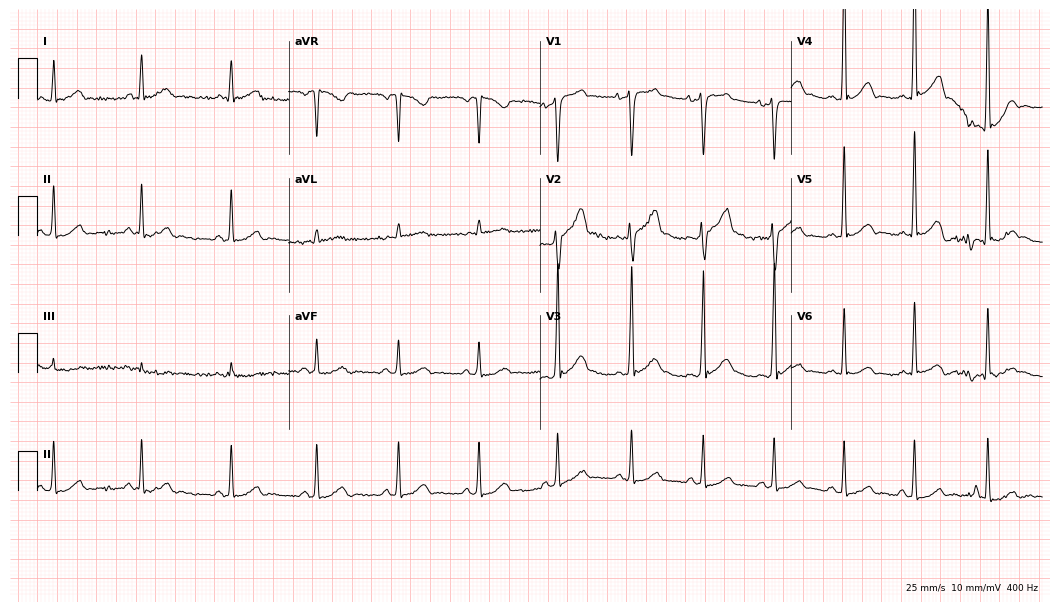
Standard 12-lead ECG recorded from a man, 39 years old (10.2-second recording at 400 Hz). None of these six findings is recorded: first-degree AV block, right bundle branch block (RBBB), left bundle branch block (LBBB), sinus bradycardia, atrial fibrillation (AF), sinus tachycardia.